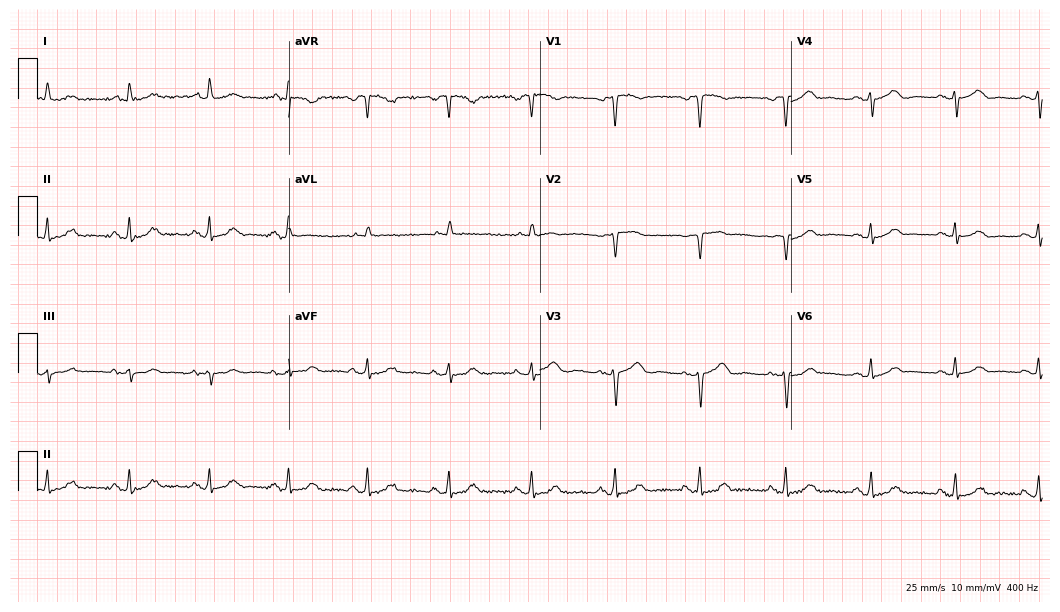
12-lead ECG from a 76-year-old female patient (10.2-second recording at 400 Hz). Recorded interpretation: within normal limits.